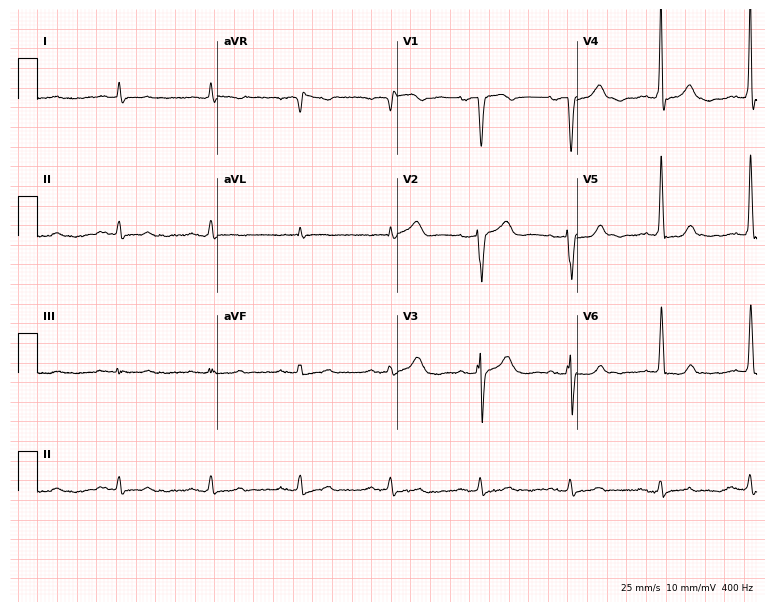
12-lead ECG (7.3-second recording at 400 Hz) from a 78-year-old female patient. Screened for six findings — first-degree AV block, right bundle branch block (RBBB), left bundle branch block (LBBB), sinus bradycardia, atrial fibrillation (AF), sinus tachycardia — none is recorded.